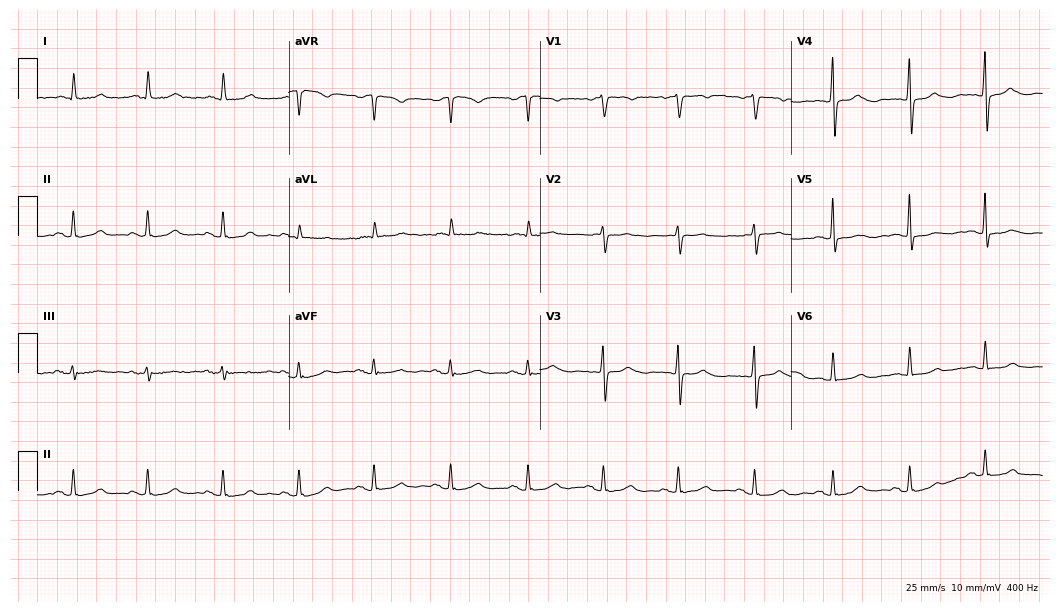
Resting 12-lead electrocardiogram (10.2-second recording at 400 Hz). Patient: a 63-year-old female. None of these six findings is recorded: first-degree AV block, right bundle branch block, left bundle branch block, sinus bradycardia, atrial fibrillation, sinus tachycardia. Findings outside these six are not listed.